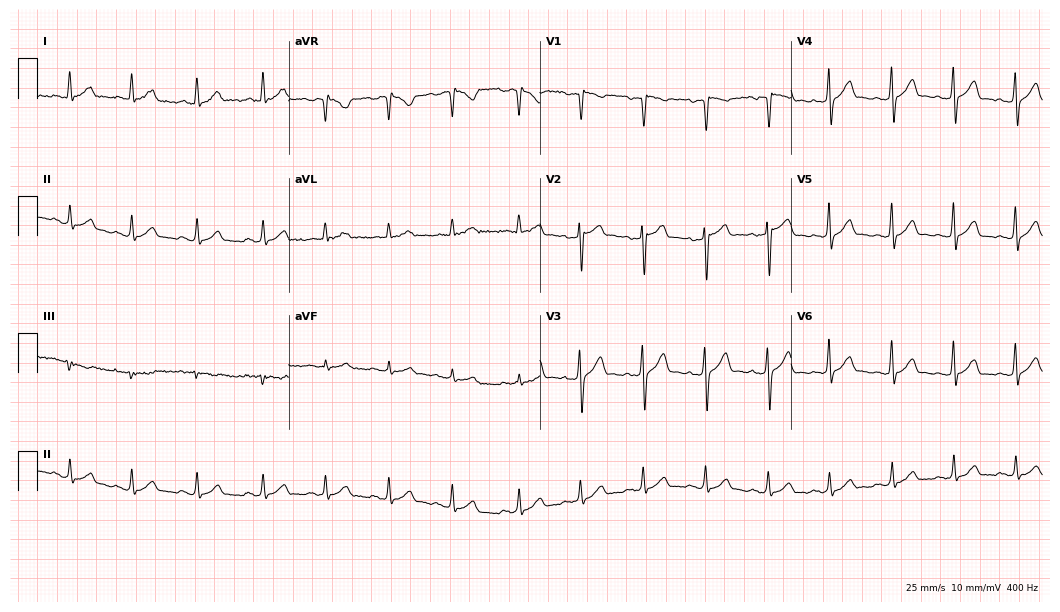
12-lead ECG from a man, 41 years old. Labelled as a normal ECG.